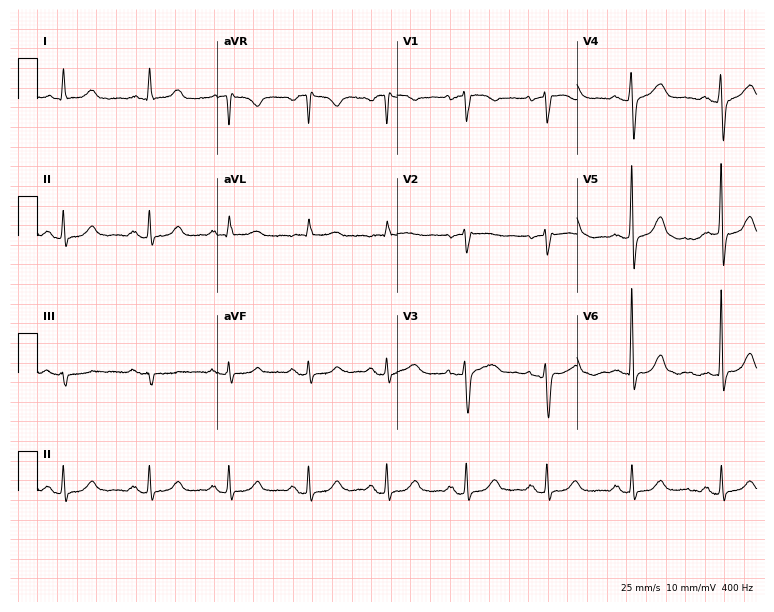
Electrocardiogram, a female, 73 years old. Overall reading on record: normal ECG.